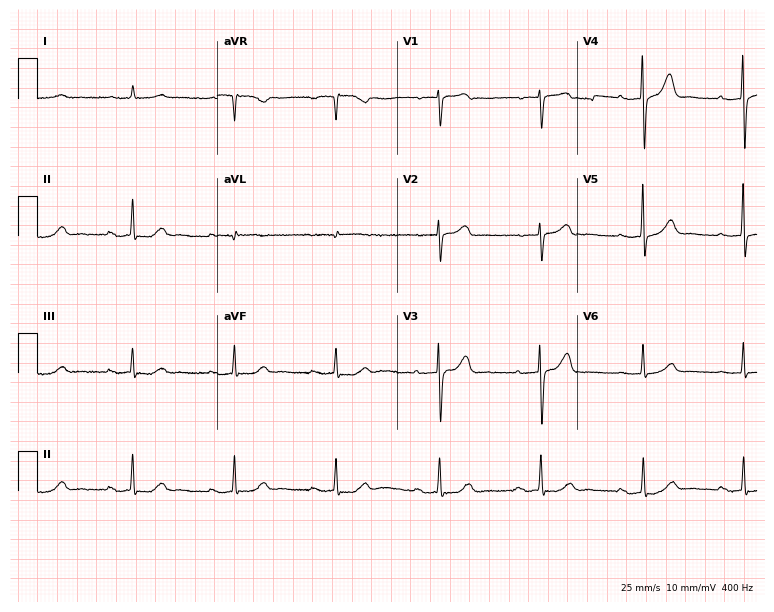
ECG (7.3-second recording at 400 Hz) — an 85-year-old male. Findings include first-degree AV block.